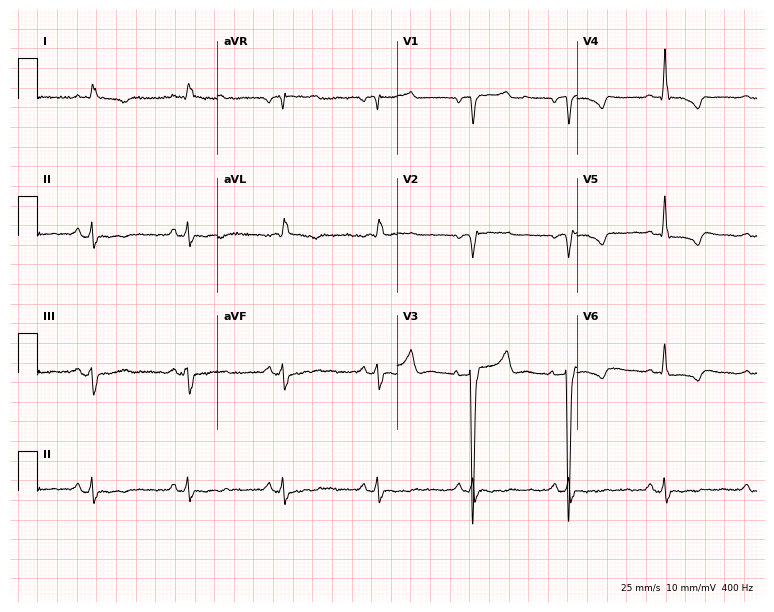
12-lead ECG from a 61-year-old male patient. Screened for six findings — first-degree AV block, right bundle branch block, left bundle branch block, sinus bradycardia, atrial fibrillation, sinus tachycardia — none is recorded.